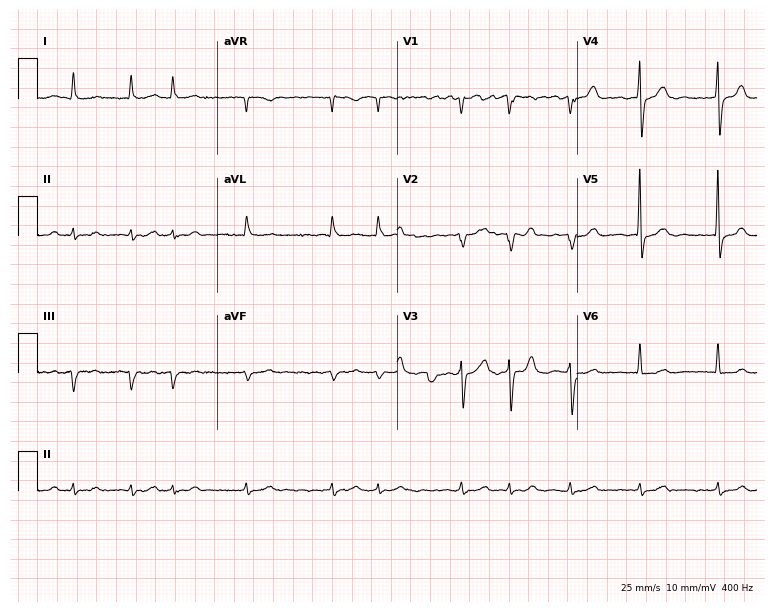
ECG — a man, 86 years old. Findings include atrial fibrillation.